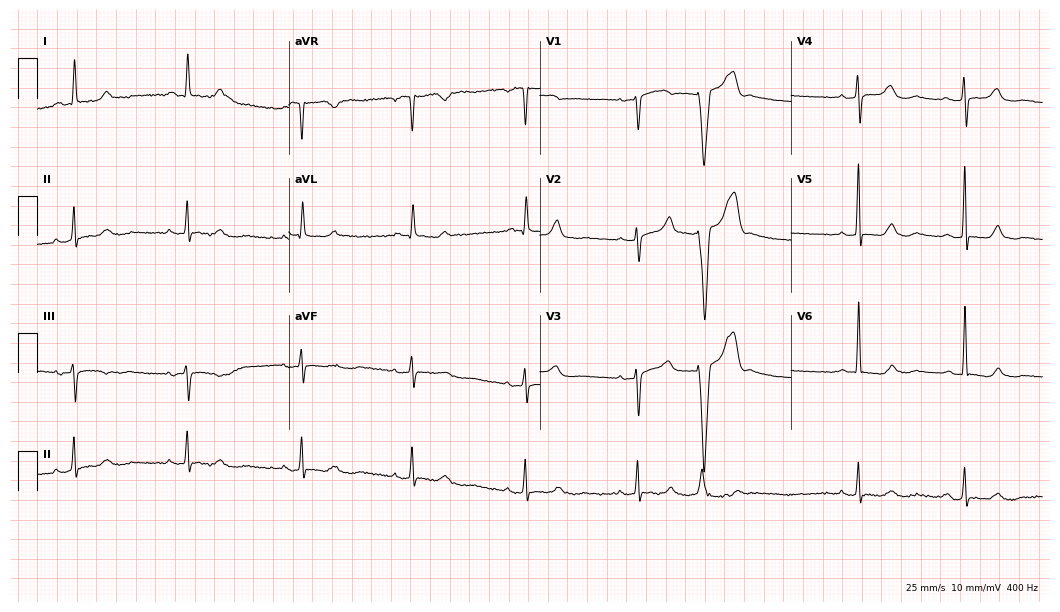
Electrocardiogram, an 83-year-old female patient. Overall reading on record: normal ECG.